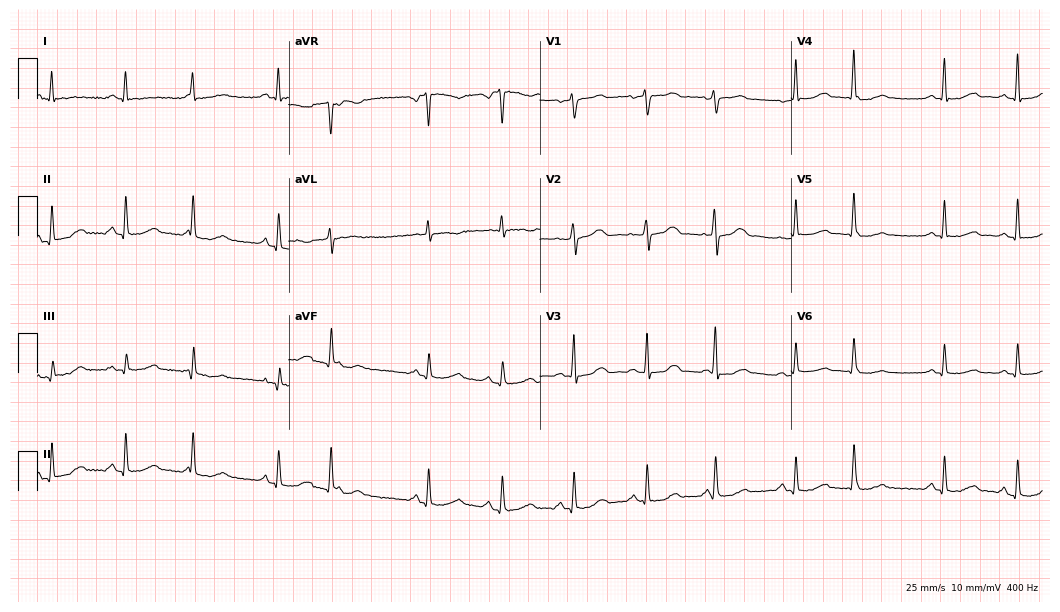
Standard 12-lead ECG recorded from a female, 57 years old (10.2-second recording at 400 Hz). None of these six findings is recorded: first-degree AV block, right bundle branch block (RBBB), left bundle branch block (LBBB), sinus bradycardia, atrial fibrillation (AF), sinus tachycardia.